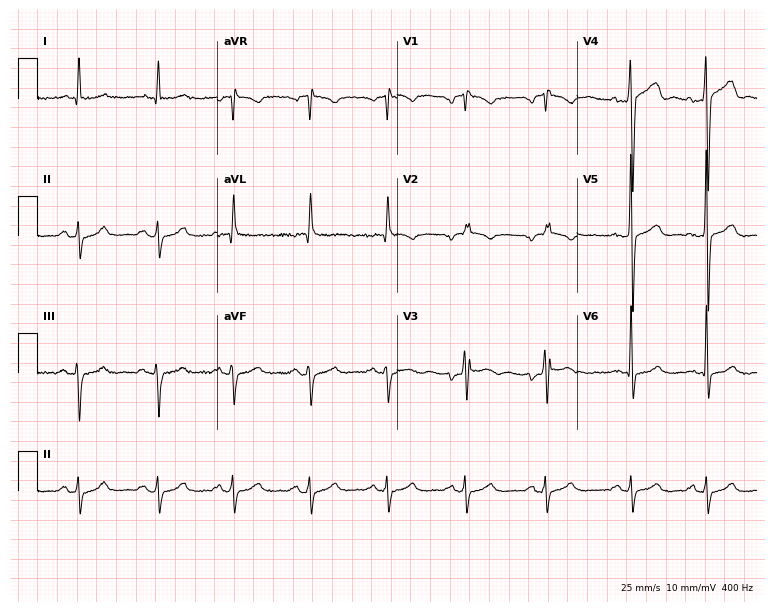
Standard 12-lead ECG recorded from a 50-year-old male. None of these six findings is recorded: first-degree AV block, right bundle branch block, left bundle branch block, sinus bradycardia, atrial fibrillation, sinus tachycardia.